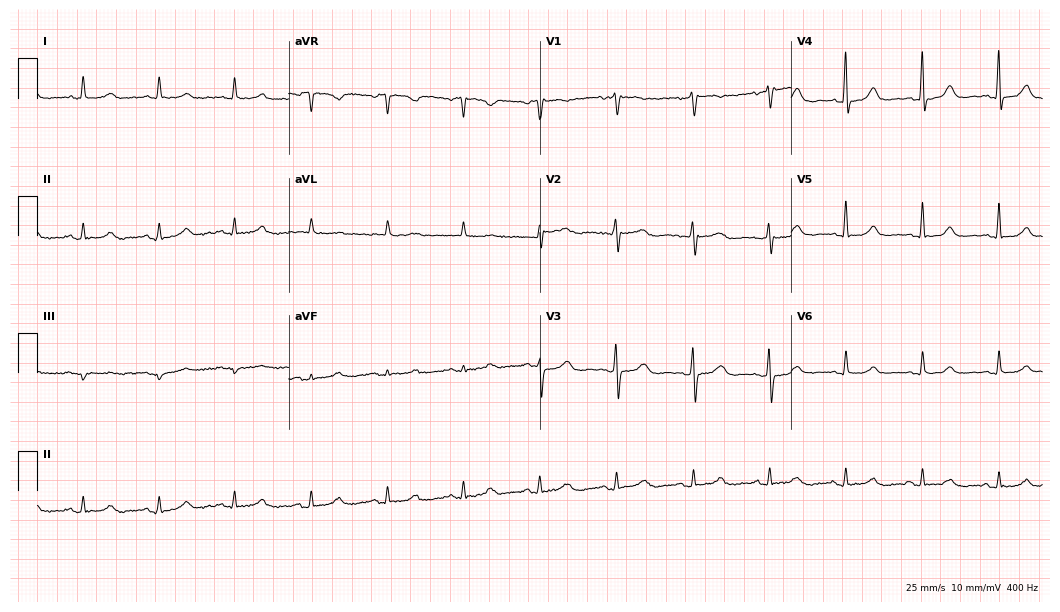
Electrocardiogram (10.2-second recording at 400 Hz), a female, 77 years old. Of the six screened findings (first-degree AV block, right bundle branch block, left bundle branch block, sinus bradycardia, atrial fibrillation, sinus tachycardia), none is recorded. Other findings, if any, are not listed.